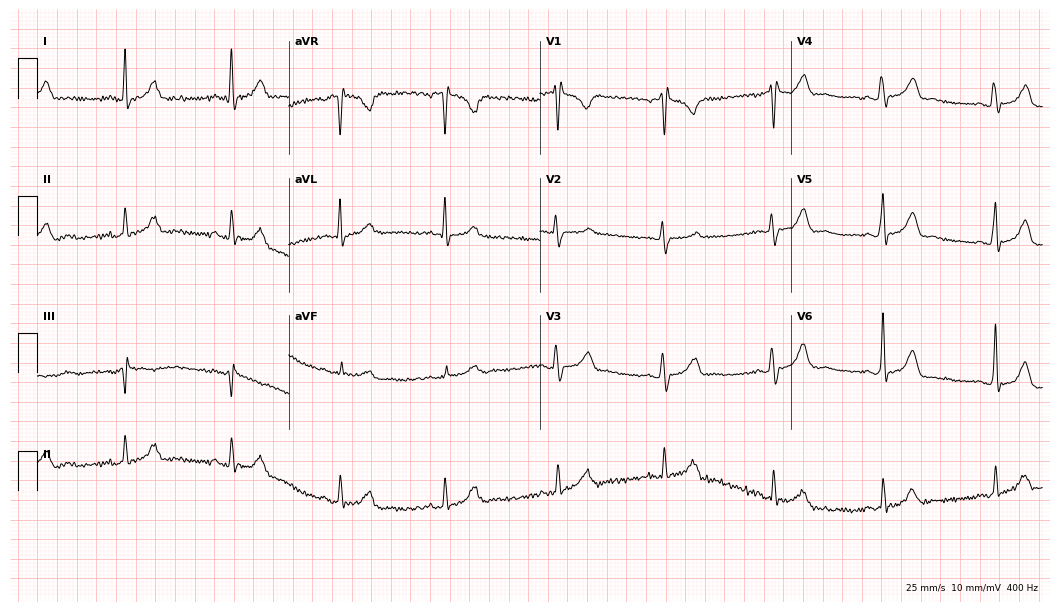
12-lead ECG from a male patient, 25 years old. No first-degree AV block, right bundle branch block (RBBB), left bundle branch block (LBBB), sinus bradycardia, atrial fibrillation (AF) or sinus tachycardia recorded for this tracing. Findings outside these six are not listed.